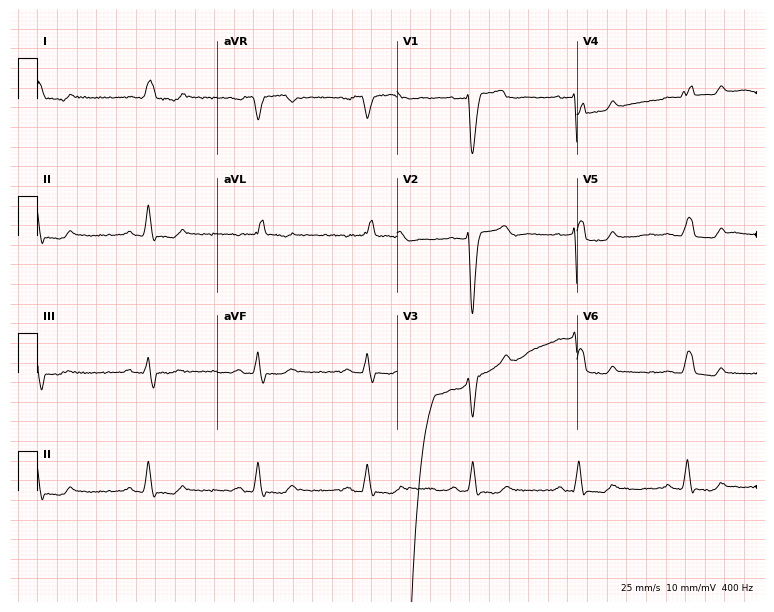
Electrocardiogram (7.3-second recording at 400 Hz), a 67-year-old female. Of the six screened findings (first-degree AV block, right bundle branch block (RBBB), left bundle branch block (LBBB), sinus bradycardia, atrial fibrillation (AF), sinus tachycardia), none is recorded. Other findings, if any, are not listed.